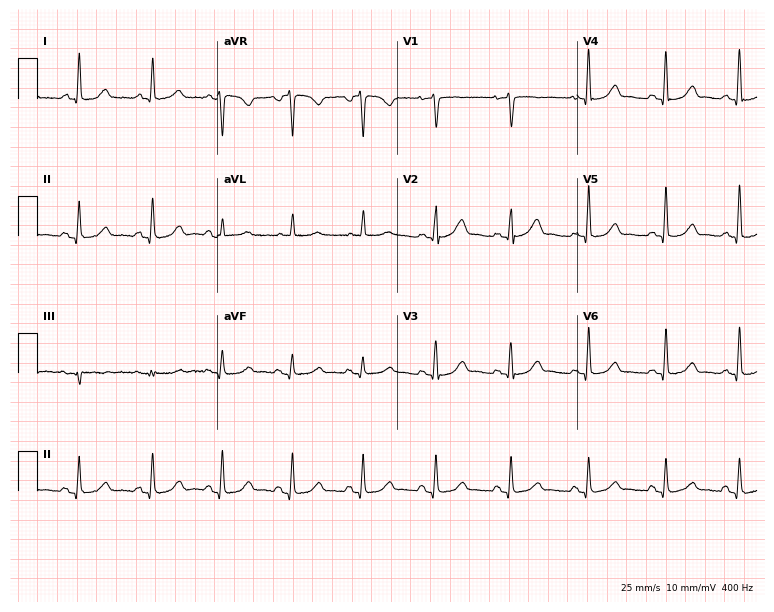
ECG — a 75-year-old female. Labelled as a normal ECG.